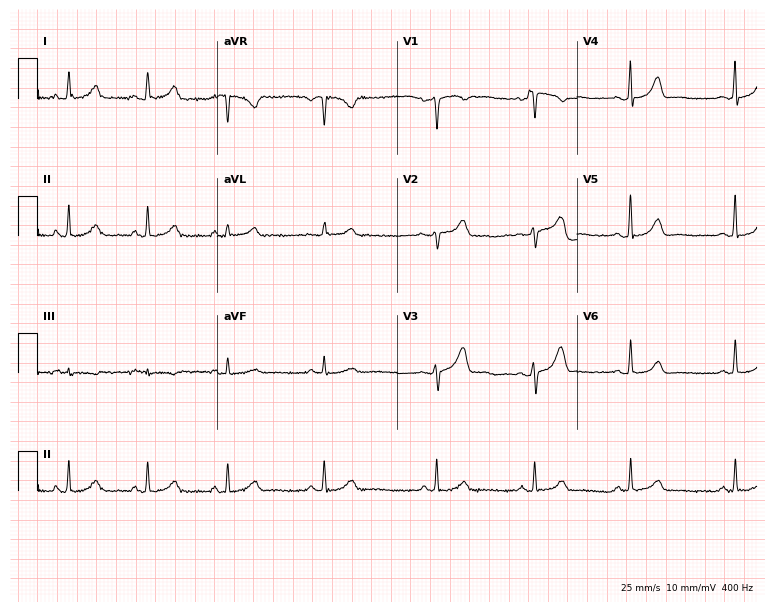
12-lead ECG (7.3-second recording at 400 Hz) from a 36-year-old female patient. Labelled as a normal ECG.